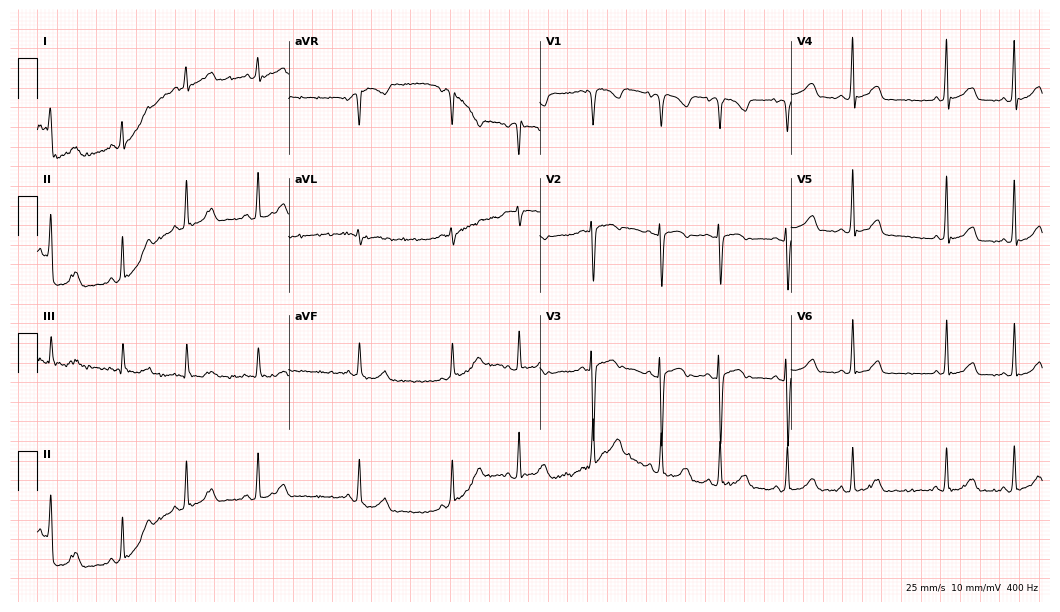
Standard 12-lead ECG recorded from a female, 81 years old. Read as a normal ECG.